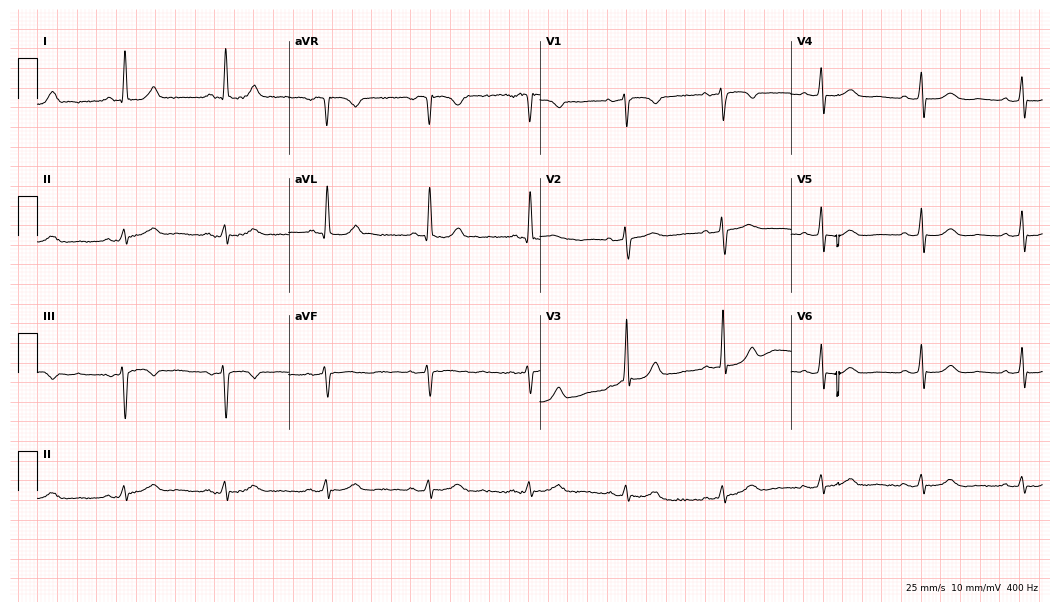
Electrocardiogram (10.2-second recording at 400 Hz), a female patient, 66 years old. Overall reading on record: normal ECG.